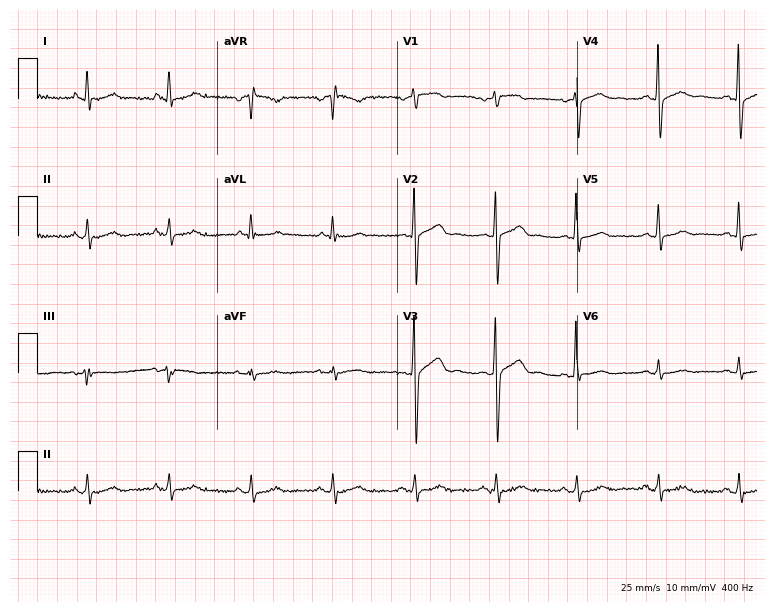
12-lead ECG from a male, 53 years old (7.3-second recording at 400 Hz). No first-degree AV block, right bundle branch block, left bundle branch block, sinus bradycardia, atrial fibrillation or sinus tachycardia recorded for this tracing. Only these six findings were labelled.